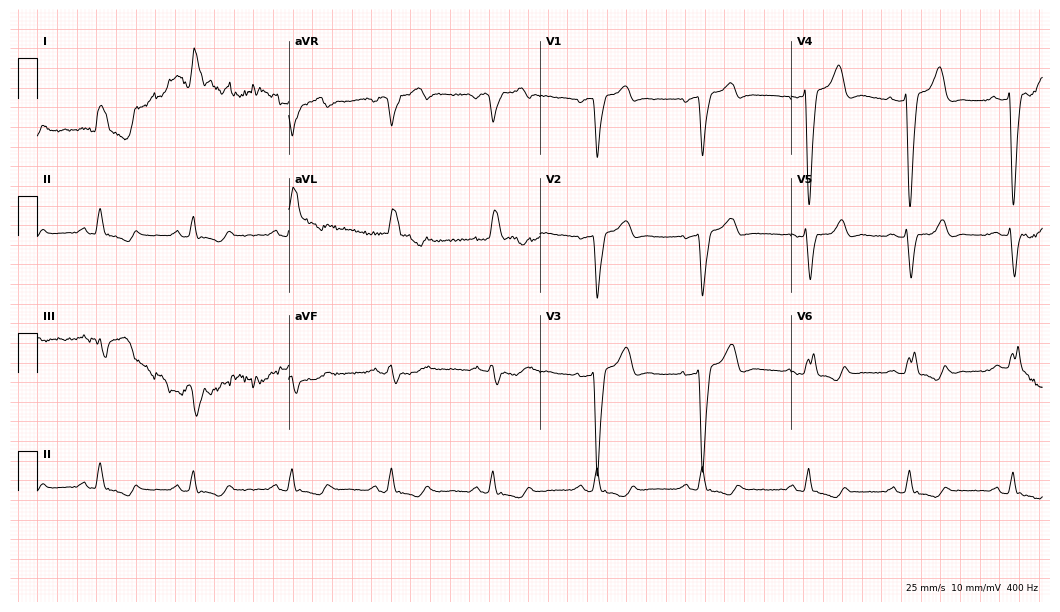
ECG — a female, 69 years old. Findings include left bundle branch block.